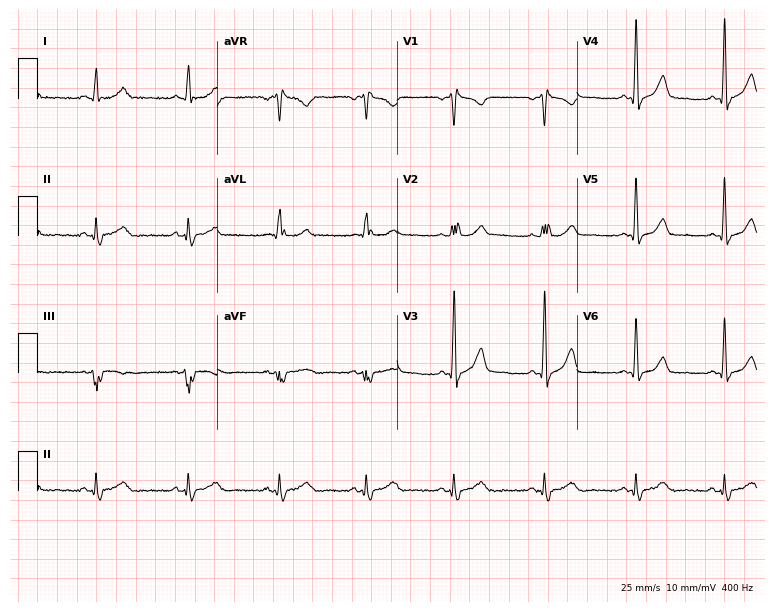
Resting 12-lead electrocardiogram. Patient: a 50-year-old male. None of these six findings is recorded: first-degree AV block, right bundle branch block (RBBB), left bundle branch block (LBBB), sinus bradycardia, atrial fibrillation (AF), sinus tachycardia. Findings outside these six are not listed.